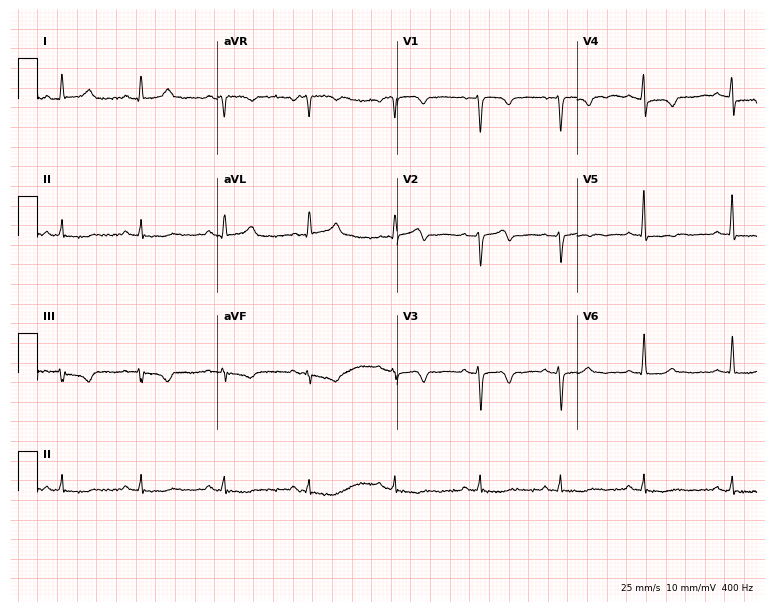
Standard 12-lead ECG recorded from a female, 52 years old. None of these six findings is recorded: first-degree AV block, right bundle branch block, left bundle branch block, sinus bradycardia, atrial fibrillation, sinus tachycardia.